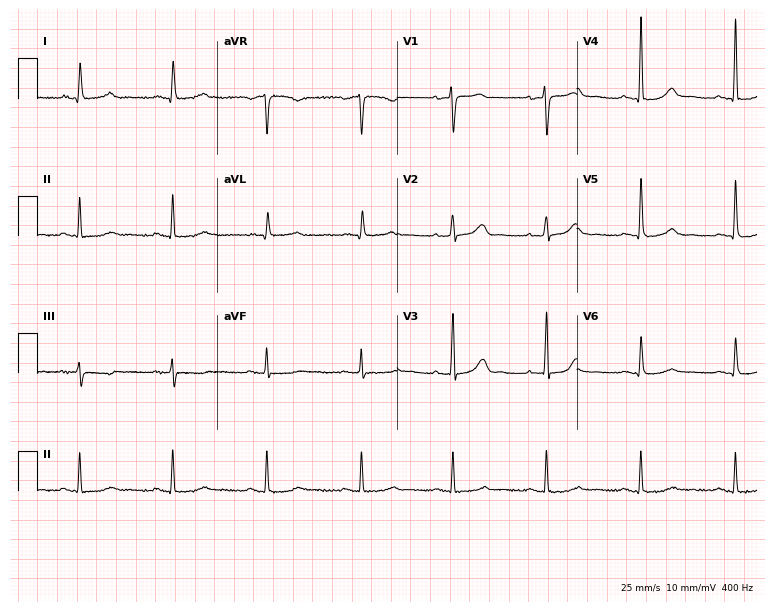
12-lead ECG from a female patient, 69 years old (7.3-second recording at 400 Hz). Recorded interpretation: within normal limits.